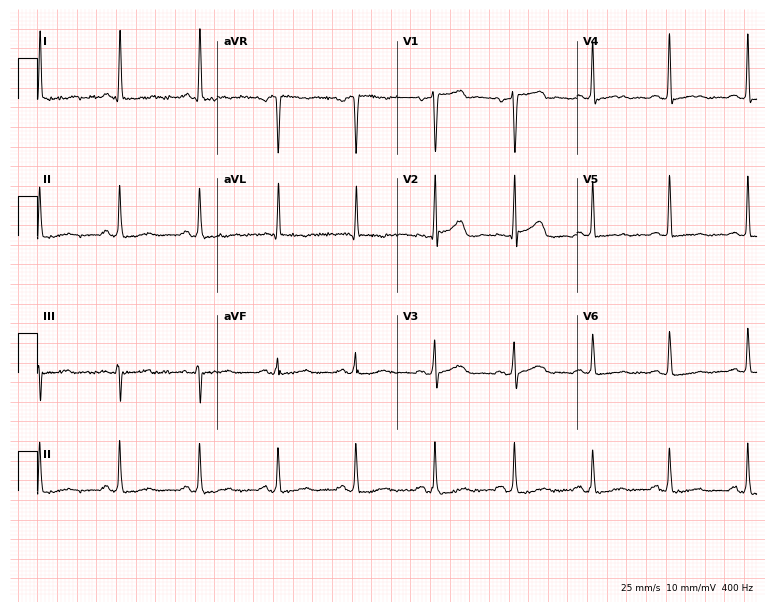
Resting 12-lead electrocardiogram. Patient: a female, 67 years old. None of these six findings is recorded: first-degree AV block, right bundle branch block, left bundle branch block, sinus bradycardia, atrial fibrillation, sinus tachycardia.